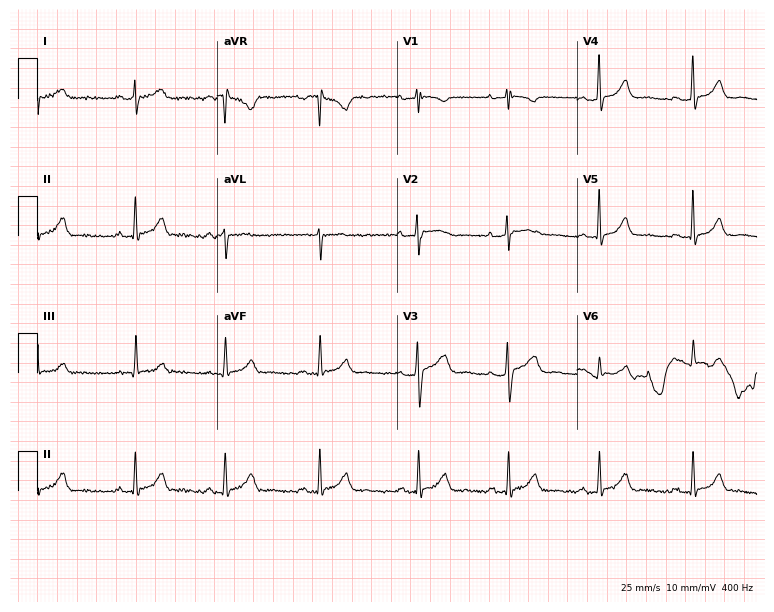
Resting 12-lead electrocardiogram (7.3-second recording at 400 Hz). Patient: a female, 34 years old. Read as a normal ECG.